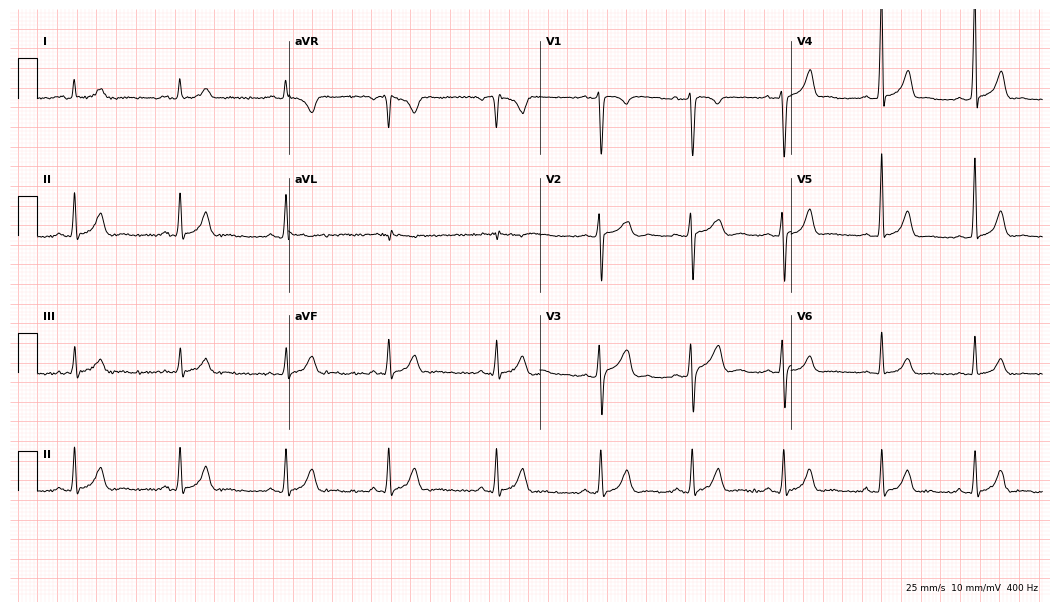
Electrocardiogram (10.2-second recording at 400 Hz), a 23-year-old male patient. Of the six screened findings (first-degree AV block, right bundle branch block, left bundle branch block, sinus bradycardia, atrial fibrillation, sinus tachycardia), none is recorded.